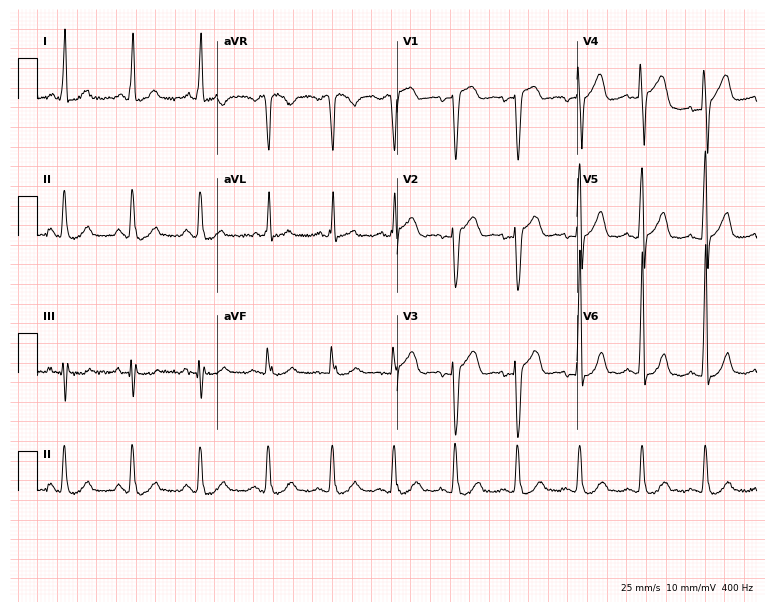
Resting 12-lead electrocardiogram. Patient: a female, 66 years old. None of these six findings is recorded: first-degree AV block, right bundle branch block, left bundle branch block, sinus bradycardia, atrial fibrillation, sinus tachycardia. Findings outside these six are not listed.